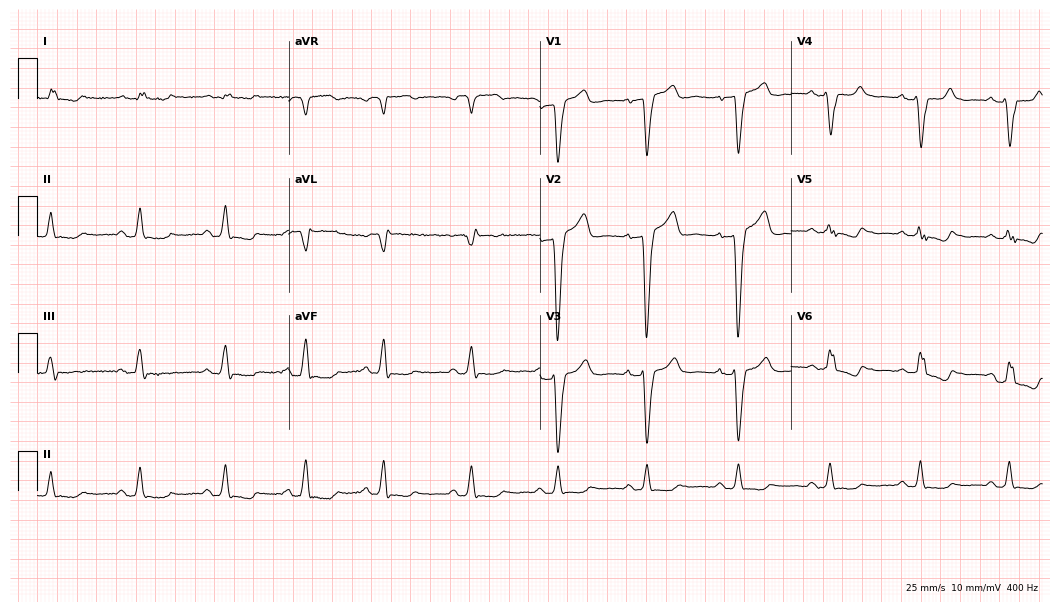
12-lead ECG from a female, 65 years old. Shows left bundle branch block.